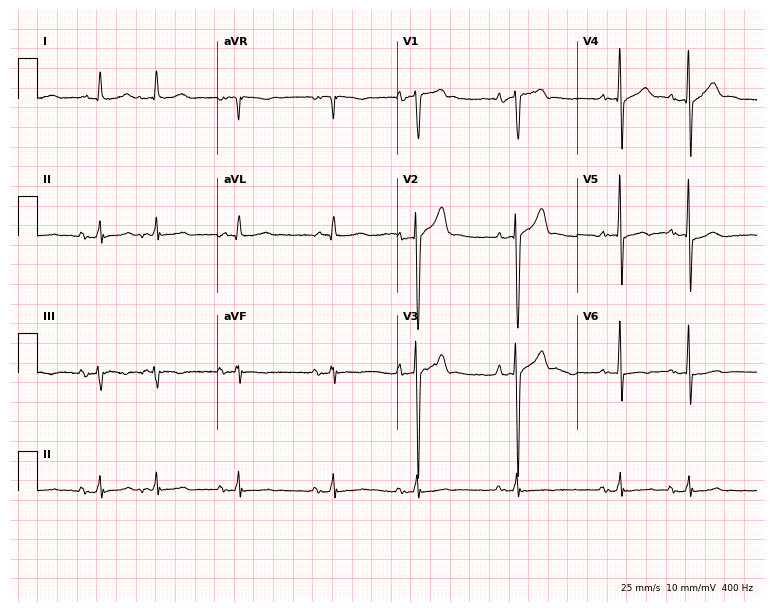
12-lead ECG (7.3-second recording at 400 Hz) from an 84-year-old man. Screened for six findings — first-degree AV block, right bundle branch block, left bundle branch block, sinus bradycardia, atrial fibrillation, sinus tachycardia — none is recorded. Findings outside these six are not listed.